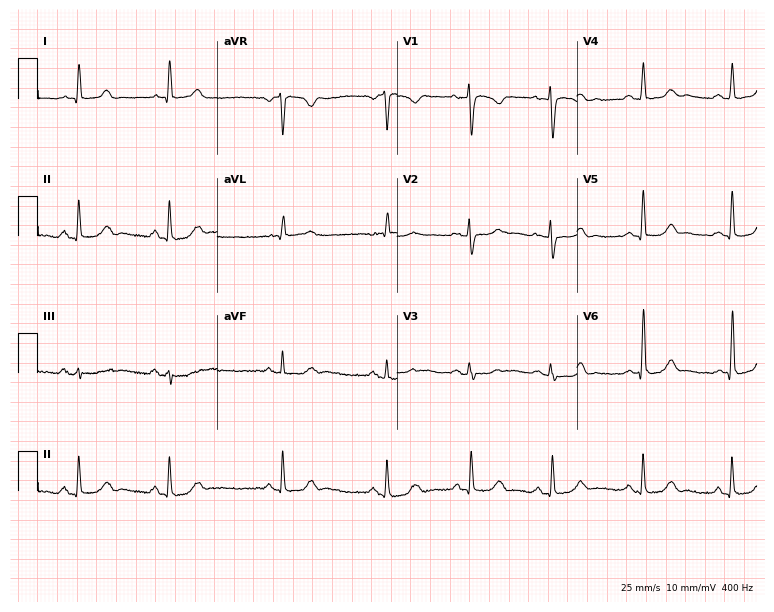
ECG — a female patient, 21 years old. Labelled as a normal ECG.